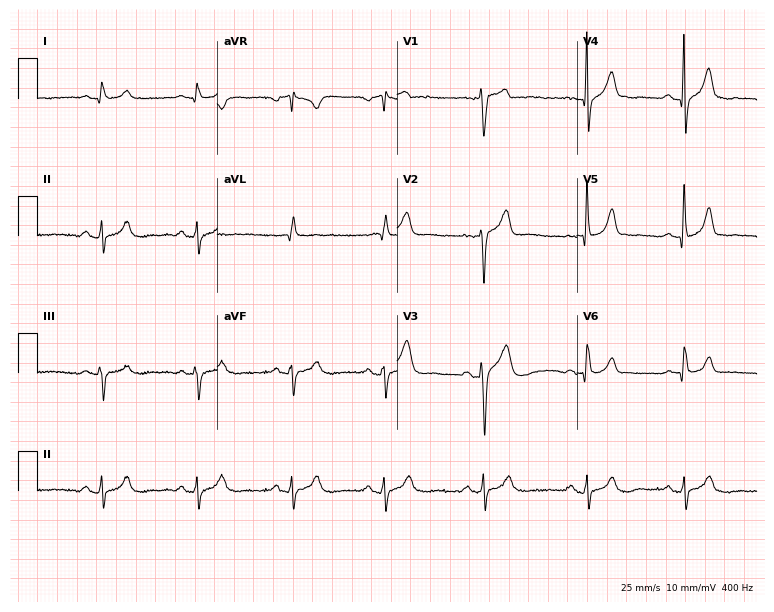
12-lead ECG from a man, 48 years old. Screened for six findings — first-degree AV block, right bundle branch block, left bundle branch block, sinus bradycardia, atrial fibrillation, sinus tachycardia — none is recorded.